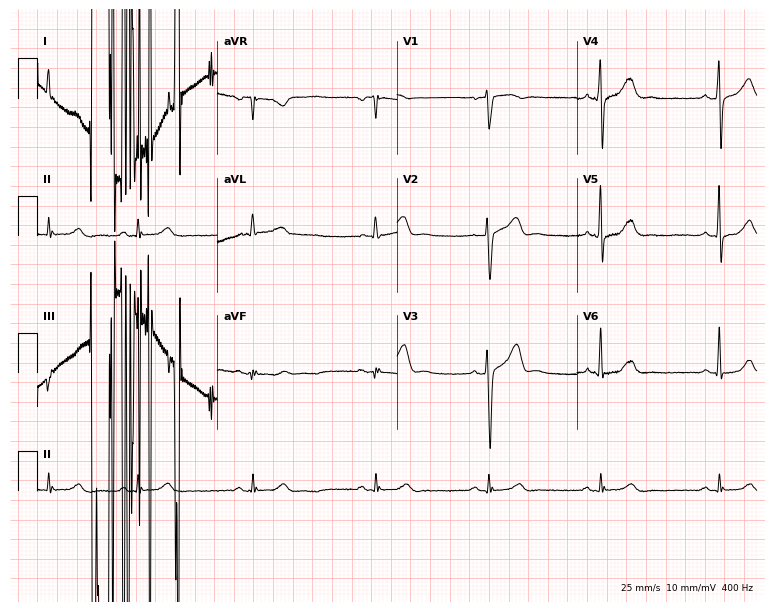
Standard 12-lead ECG recorded from a 48-year-old man (7.3-second recording at 400 Hz). None of these six findings is recorded: first-degree AV block, right bundle branch block, left bundle branch block, sinus bradycardia, atrial fibrillation, sinus tachycardia.